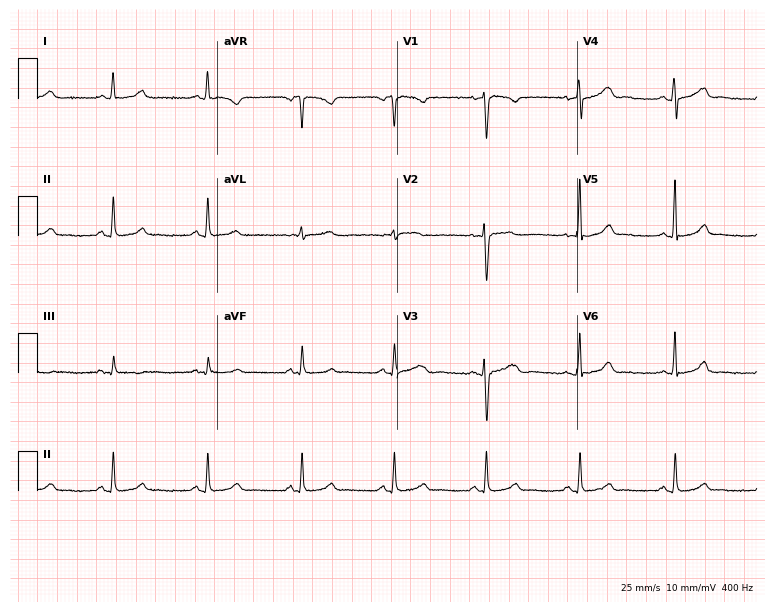
Resting 12-lead electrocardiogram. Patient: a female, 33 years old. None of these six findings is recorded: first-degree AV block, right bundle branch block (RBBB), left bundle branch block (LBBB), sinus bradycardia, atrial fibrillation (AF), sinus tachycardia. Findings outside these six are not listed.